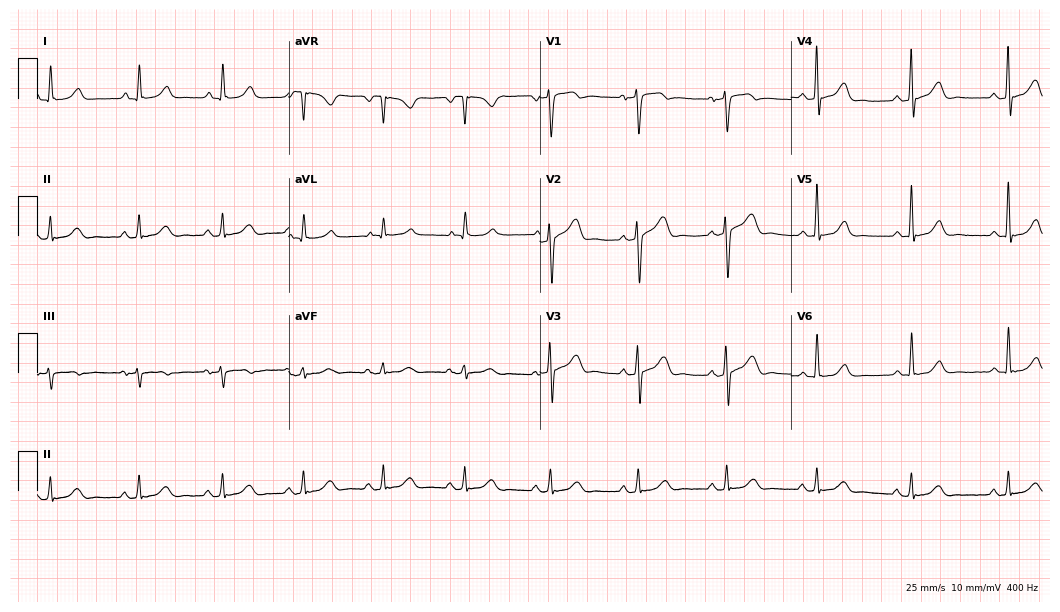
12-lead ECG from a male, 75 years old. Recorded interpretation: within normal limits.